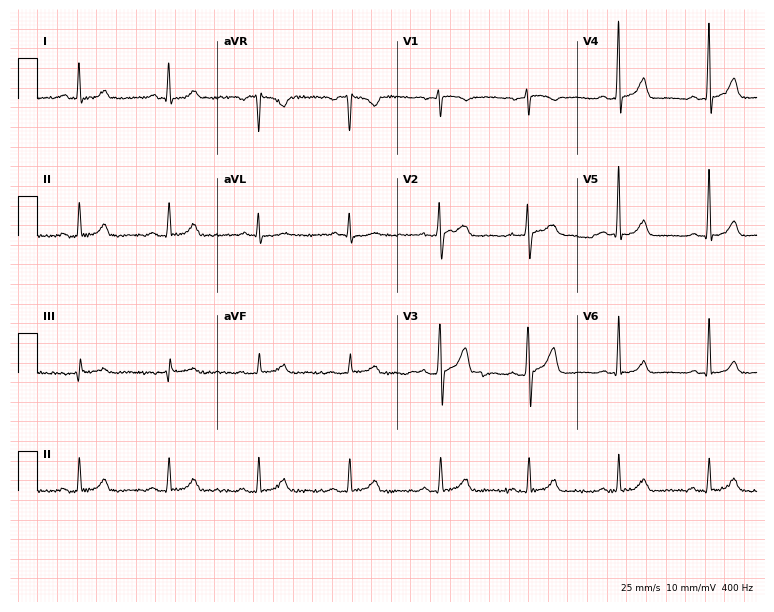
Standard 12-lead ECG recorded from a 71-year-old male. None of these six findings is recorded: first-degree AV block, right bundle branch block (RBBB), left bundle branch block (LBBB), sinus bradycardia, atrial fibrillation (AF), sinus tachycardia.